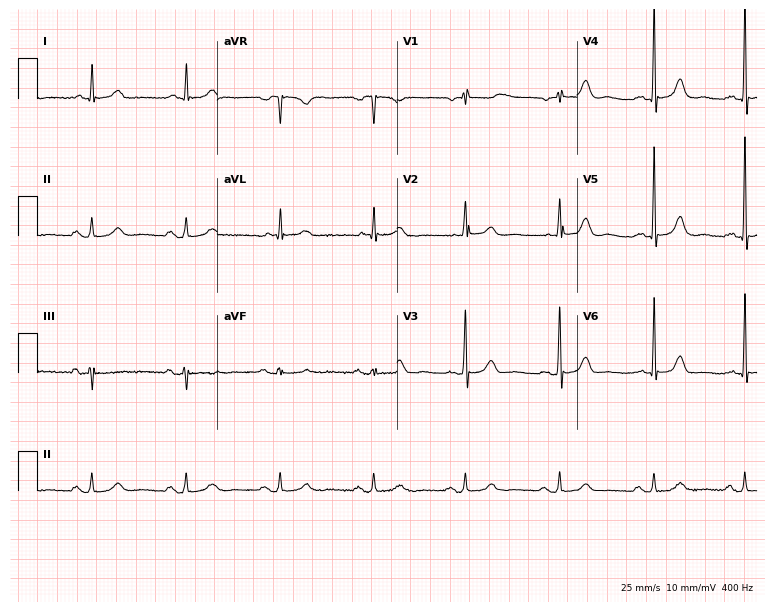
Electrocardiogram (7.3-second recording at 400 Hz), a woman, 86 years old. Of the six screened findings (first-degree AV block, right bundle branch block, left bundle branch block, sinus bradycardia, atrial fibrillation, sinus tachycardia), none is recorded.